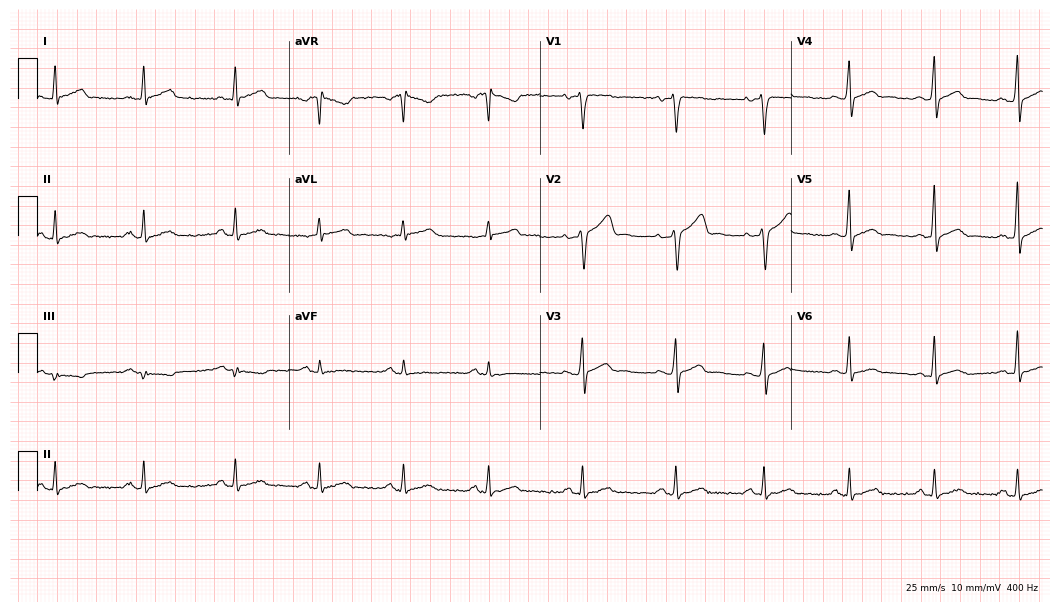
Standard 12-lead ECG recorded from a 39-year-old male. Read as a normal ECG.